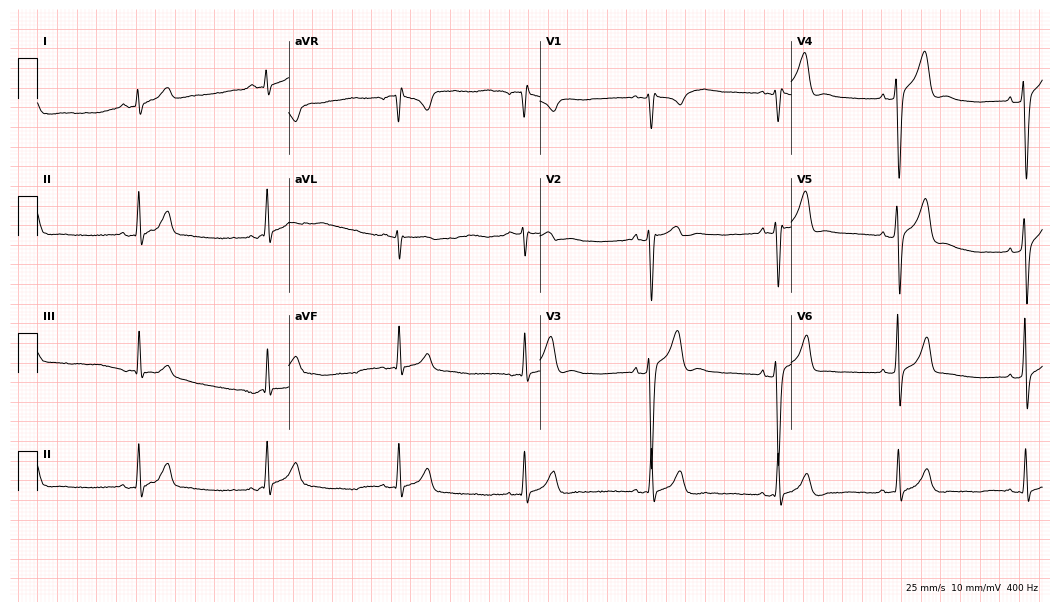
Resting 12-lead electrocardiogram. Patient: a 28-year-old male. The tracing shows sinus bradycardia (a sinus rate of 50 beats per minute or less).